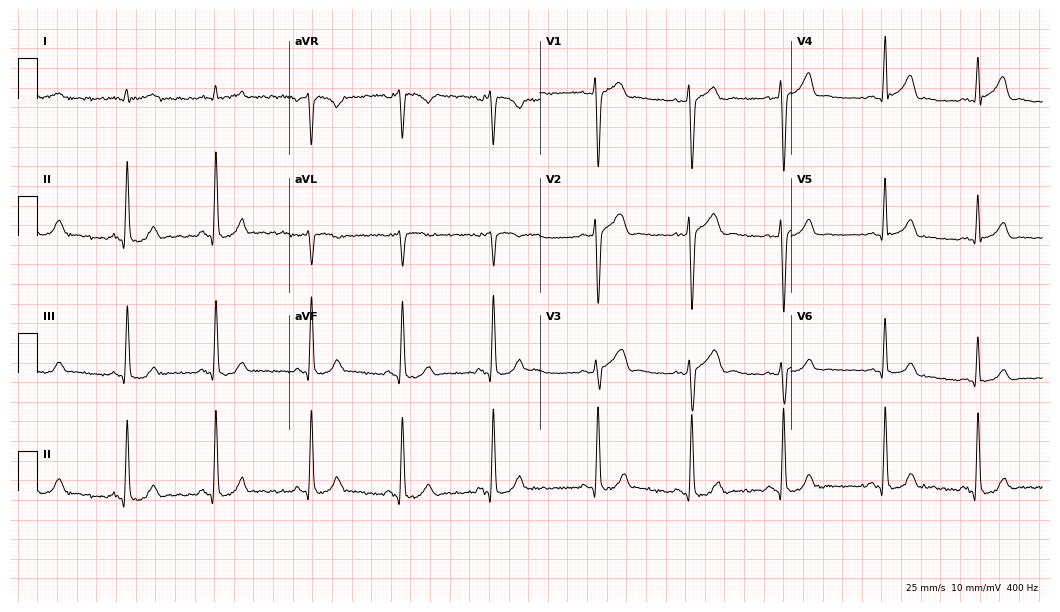
Electrocardiogram, a male patient, 38 years old. Of the six screened findings (first-degree AV block, right bundle branch block, left bundle branch block, sinus bradycardia, atrial fibrillation, sinus tachycardia), none is recorded. Other findings, if any, are not listed.